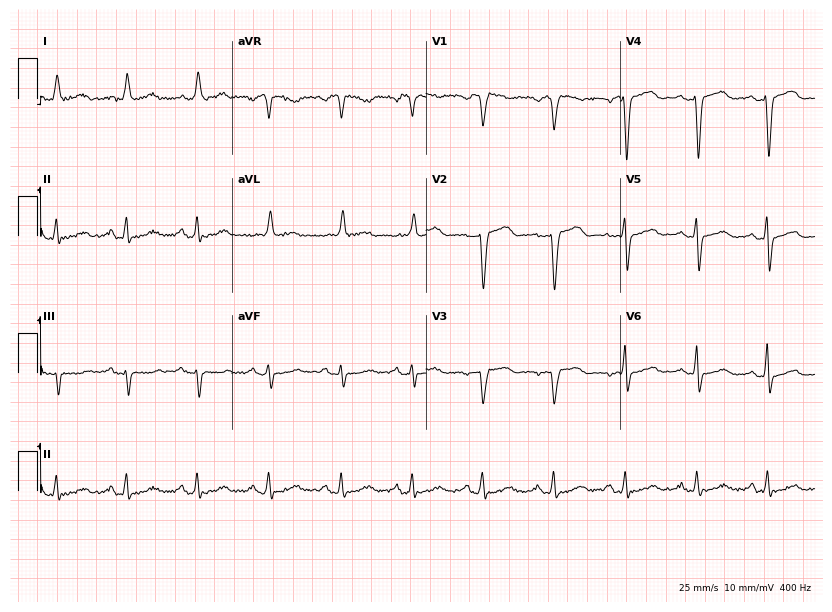
Resting 12-lead electrocardiogram (7.9-second recording at 400 Hz). Patient: a woman, 61 years old. None of these six findings is recorded: first-degree AV block, right bundle branch block (RBBB), left bundle branch block (LBBB), sinus bradycardia, atrial fibrillation (AF), sinus tachycardia.